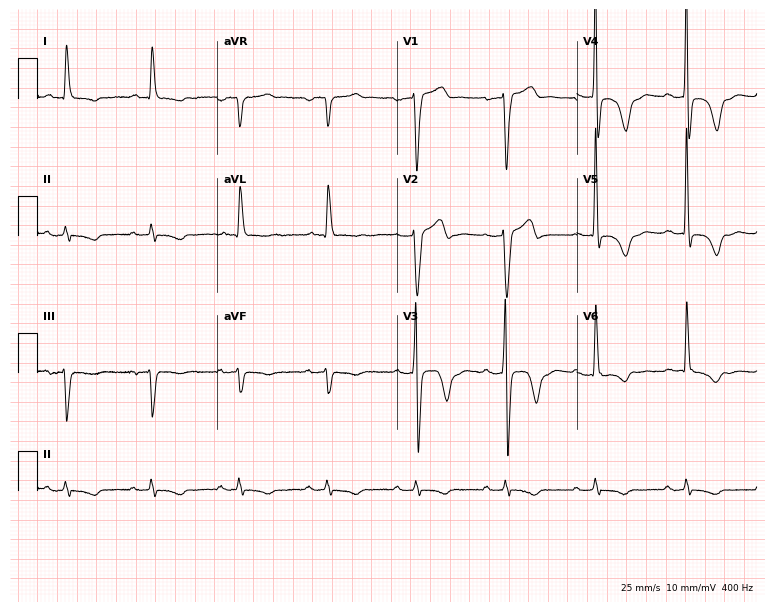
Electrocardiogram (7.3-second recording at 400 Hz), a male patient, 65 years old. Of the six screened findings (first-degree AV block, right bundle branch block (RBBB), left bundle branch block (LBBB), sinus bradycardia, atrial fibrillation (AF), sinus tachycardia), none is recorded. Other findings, if any, are not listed.